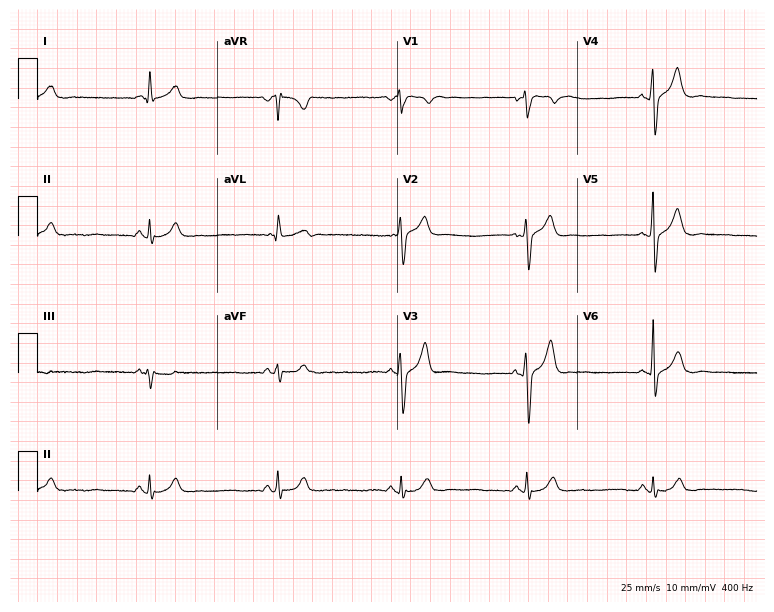
Electrocardiogram, a 50-year-old male patient. Interpretation includes sinus bradycardia (a sinus rate of 50 beats per minute or less).